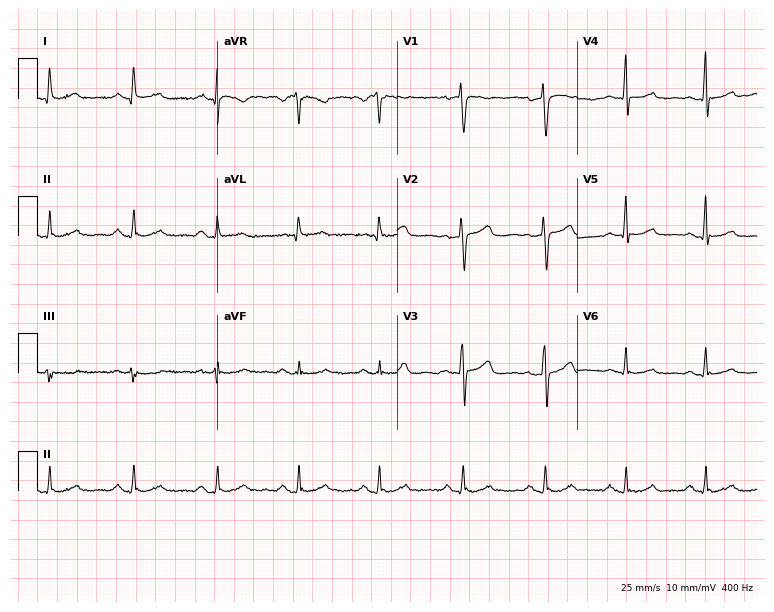
Resting 12-lead electrocardiogram (7.3-second recording at 400 Hz). Patient: a 60-year-old female. Read as a normal ECG.